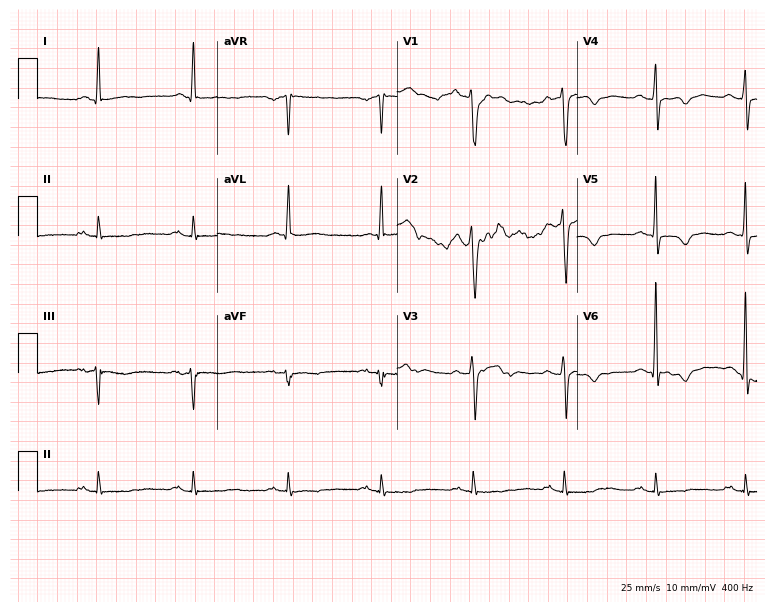
ECG — a 68-year-old male patient. Screened for six findings — first-degree AV block, right bundle branch block, left bundle branch block, sinus bradycardia, atrial fibrillation, sinus tachycardia — none is recorded.